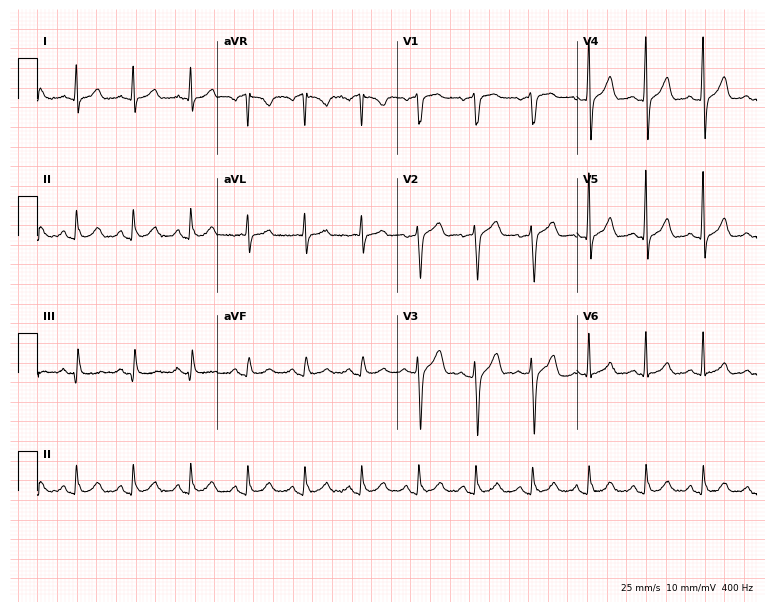
Electrocardiogram, a male patient, 54 years old. Interpretation includes sinus tachycardia (a sinus rate of 100 beats per minute or more).